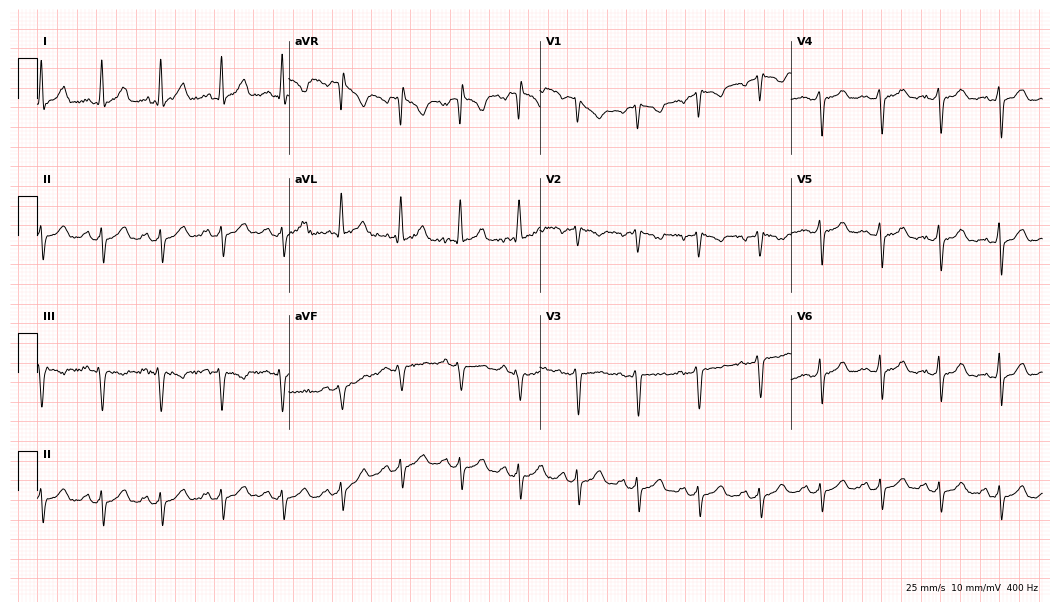
Standard 12-lead ECG recorded from a female patient, 35 years old (10.2-second recording at 400 Hz). None of these six findings is recorded: first-degree AV block, right bundle branch block, left bundle branch block, sinus bradycardia, atrial fibrillation, sinus tachycardia.